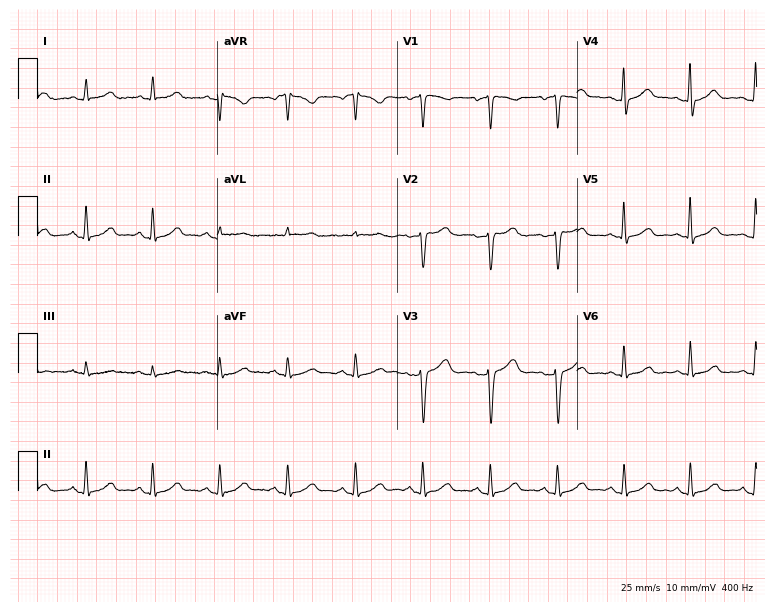
Standard 12-lead ECG recorded from a 41-year-old female. None of these six findings is recorded: first-degree AV block, right bundle branch block, left bundle branch block, sinus bradycardia, atrial fibrillation, sinus tachycardia. Findings outside these six are not listed.